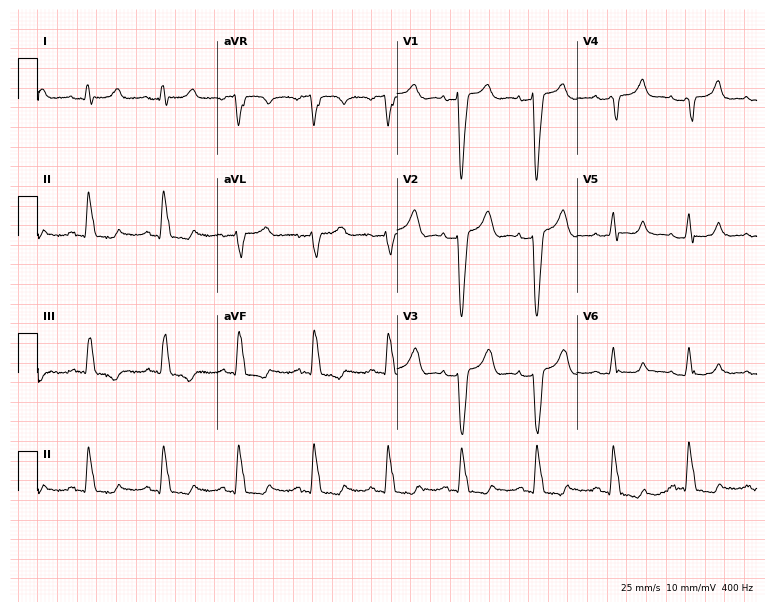
12-lead ECG from a female, 76 years old (7.3-second recording at 400 Hz). No first-degree AV block, right bundle branch block (RBBB), left bundle branch block (LBBB), sinus bradycardia, atrial fibrillation (AF) or sinus tachycardia recorded for this tracing.